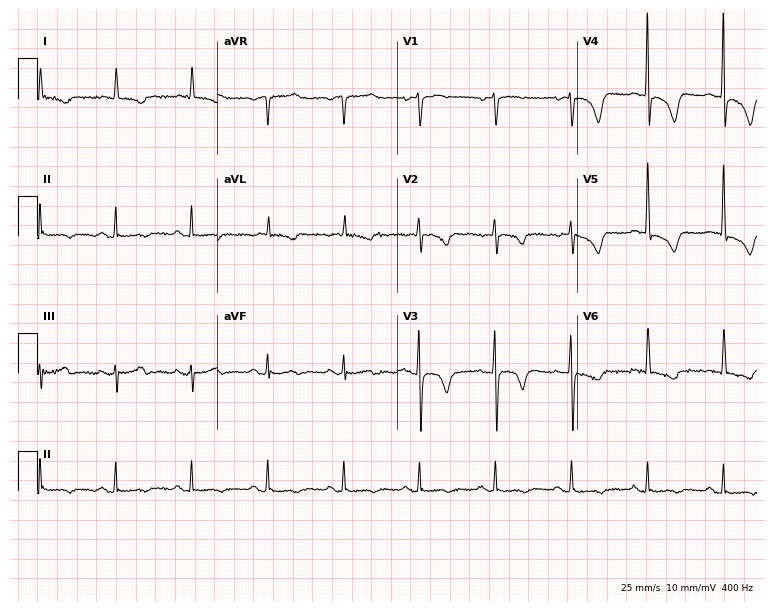
ECG (7.3-second recording at 400 Hz) — a 68-year-old male patient. Screened for six findings — first-degree AV block, right bundle branch block, left bundle branch block, sinus bradycardia, atrial fibrillation, sinus tachycardia — none is recorded.